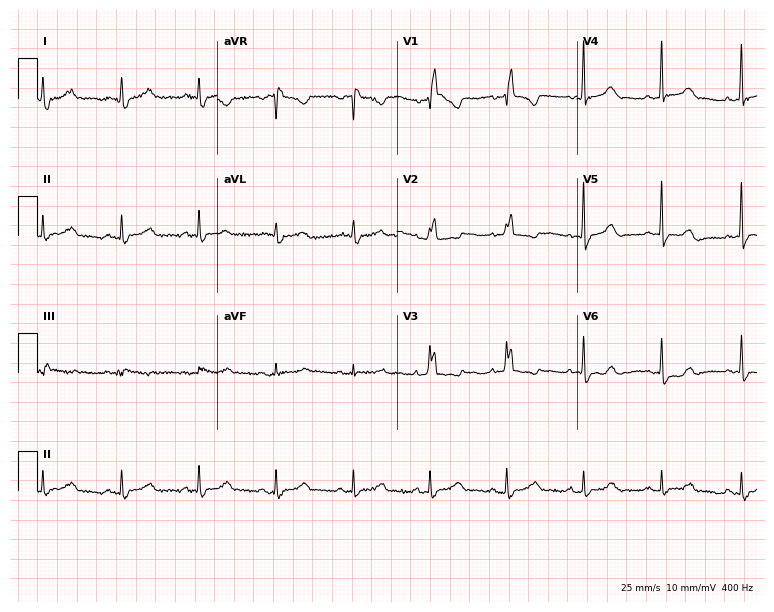
12-lead ECG from a 70-year-old female patient. Shows right bundle branch block (RBBB).